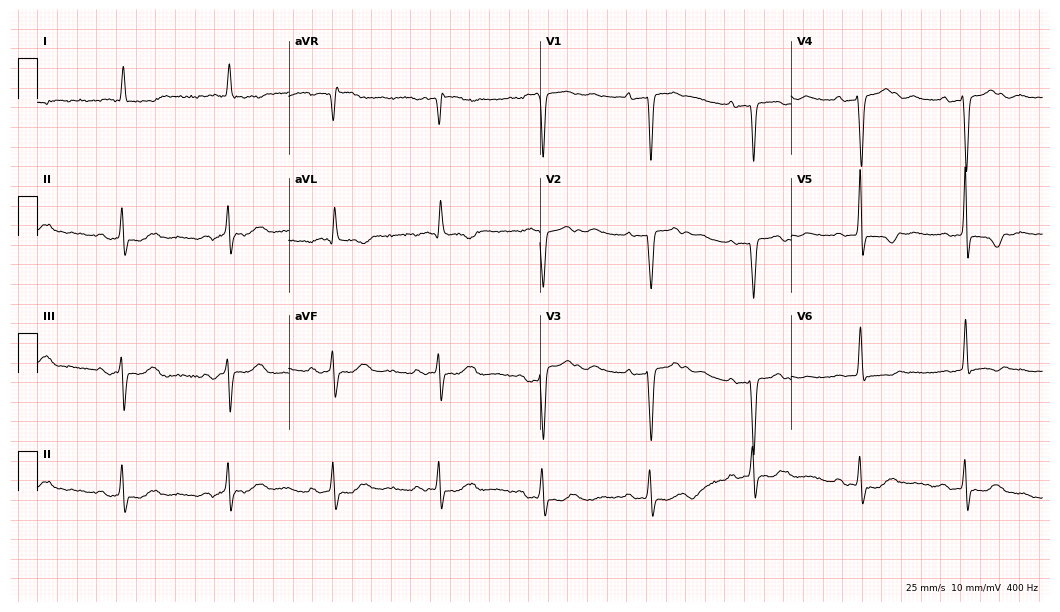
ECG (10.2-second recording at 400 Hz) — an 86-year-old female. Findings include first-degree AV block.